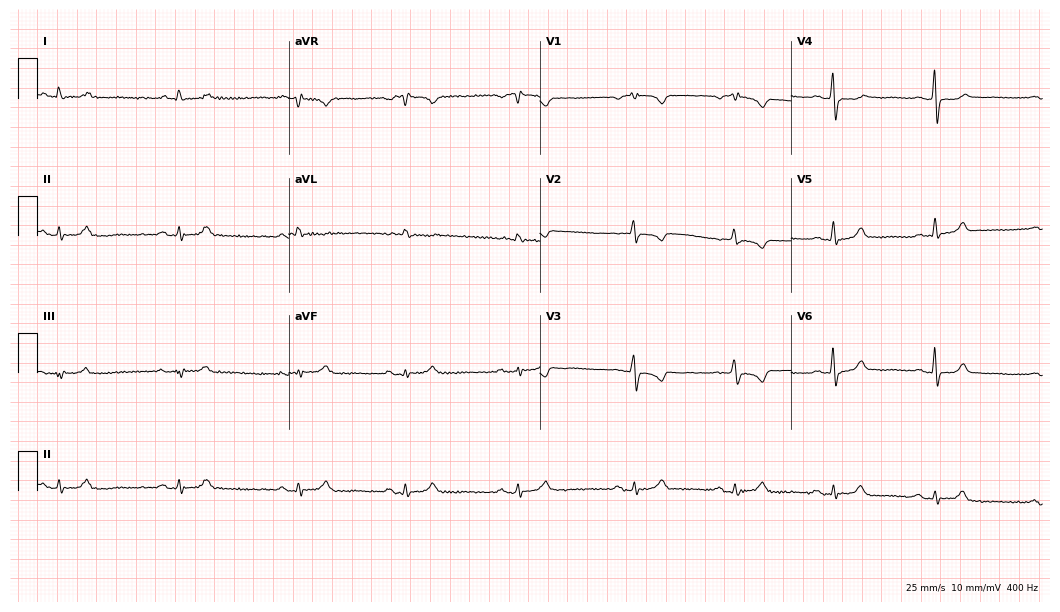
Standard 12-lead ECG recorded from a 61-year-old female (10.2-second recording at 400 Hz). Read as a normal ECG.